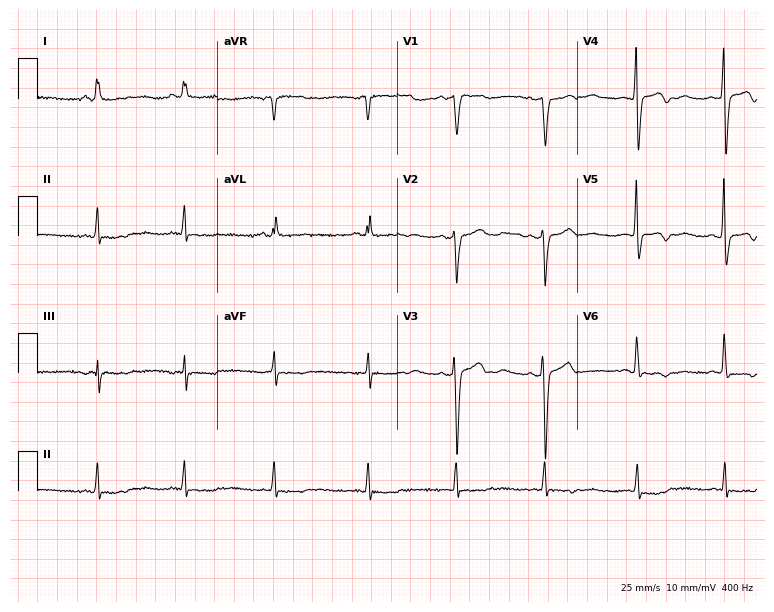
Electrocardiogram, a female, 64 years old. Of the six screened findings (first-degree AV block, right bundle branch block, left bundle branch block, sinus bradycardia, atrial fibrillation, sinus tachycardia), none is recorded.